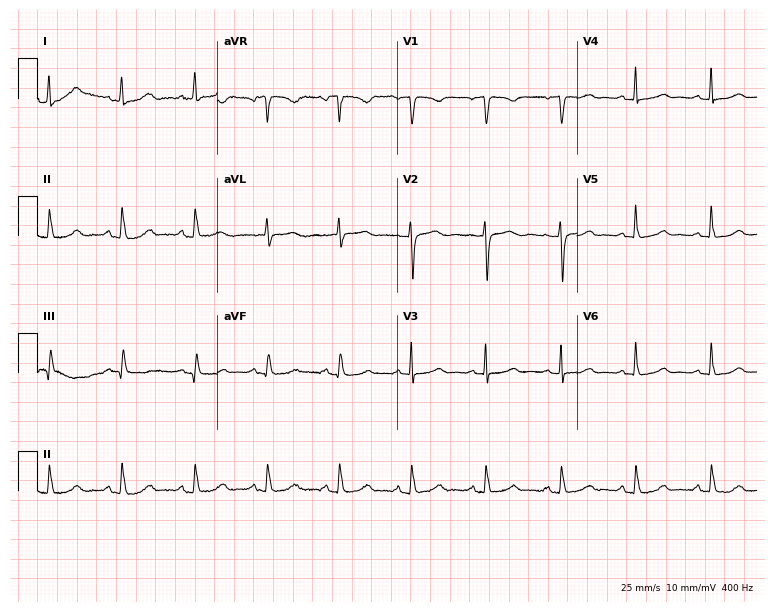
ECG (7.3-second recording at 400 Hz) — a female patient, 76 years old. Labelled as a normal ECG.